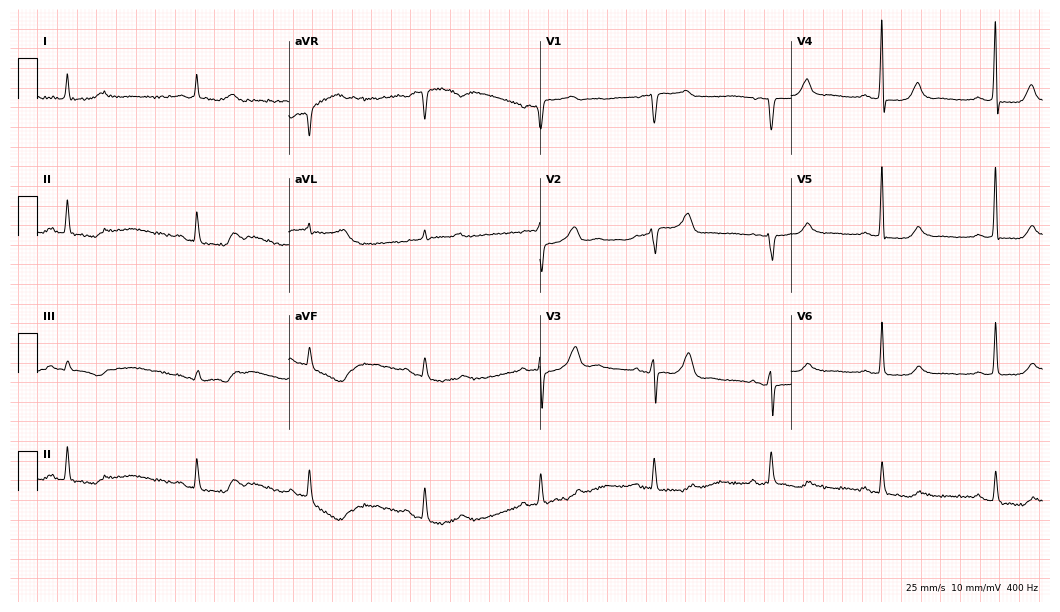
12-lead ECG (10.2-second recording at 400 Hz) from a 77-year-old female. Screened for six findings — first-degree AV block, right bundle branch block (RBBB), left bundle branch block (LBBB), sinus bradycardia, atrial fibrillation (AF), sinus tachycardia — none is recorded. Findings outside these six are not listed.